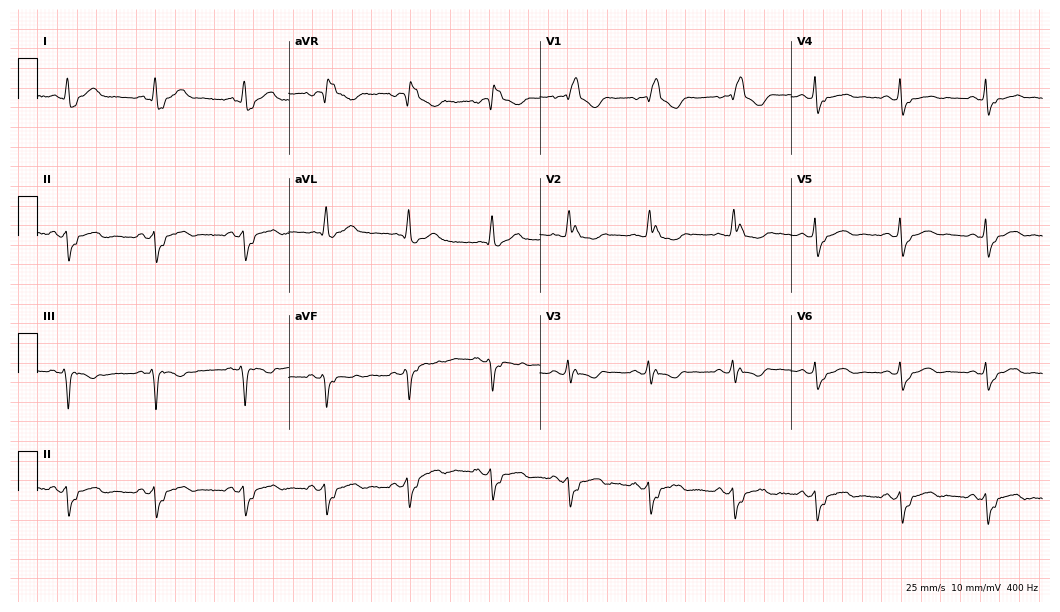
12-lead ECG from a 43-year-old female (10.2-second recording at 400 Hz). Shows right bundle branch block.